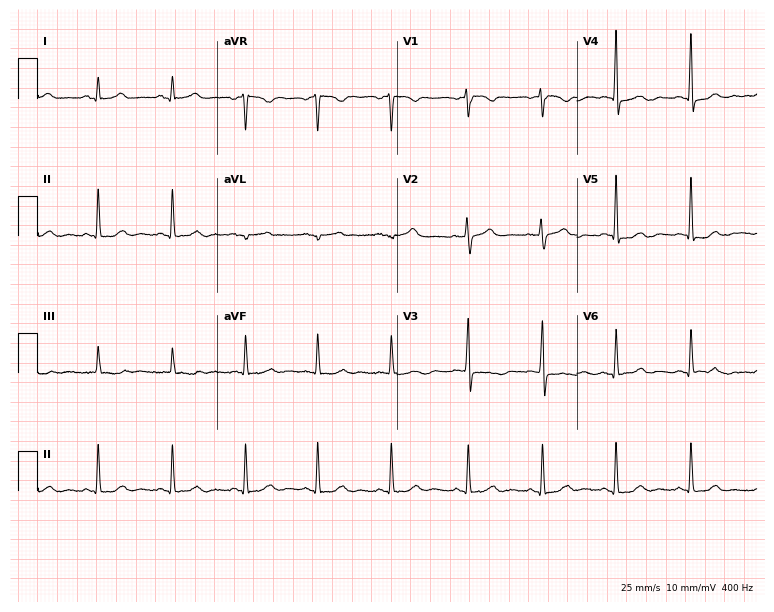
12-lead ECG from a female, 51 years old. Labelled as a normal ECG.